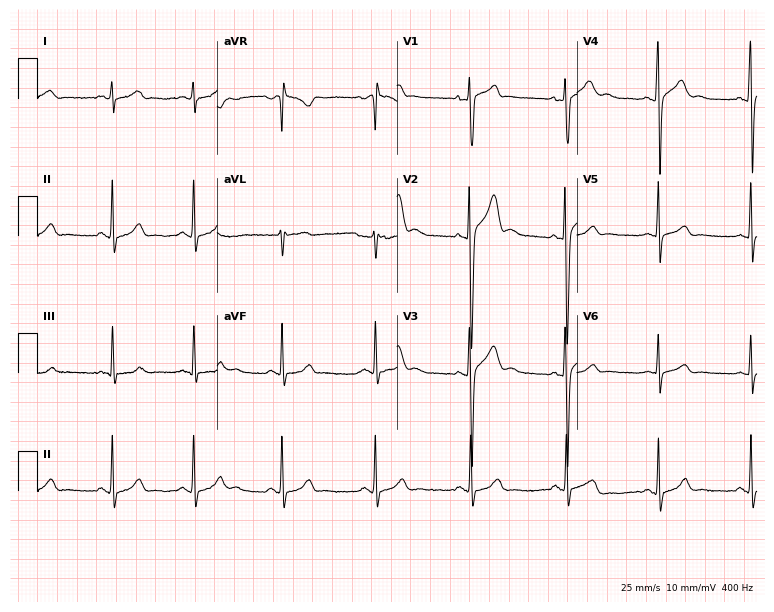
Electrocardiogram, a 25-year-old male. Of the six screened findings (first-degree AV block, right bundle branch block, left bundle branch block, sinus bradycardia, atrial fibrillation, sinus tachycardia), none is recorded.